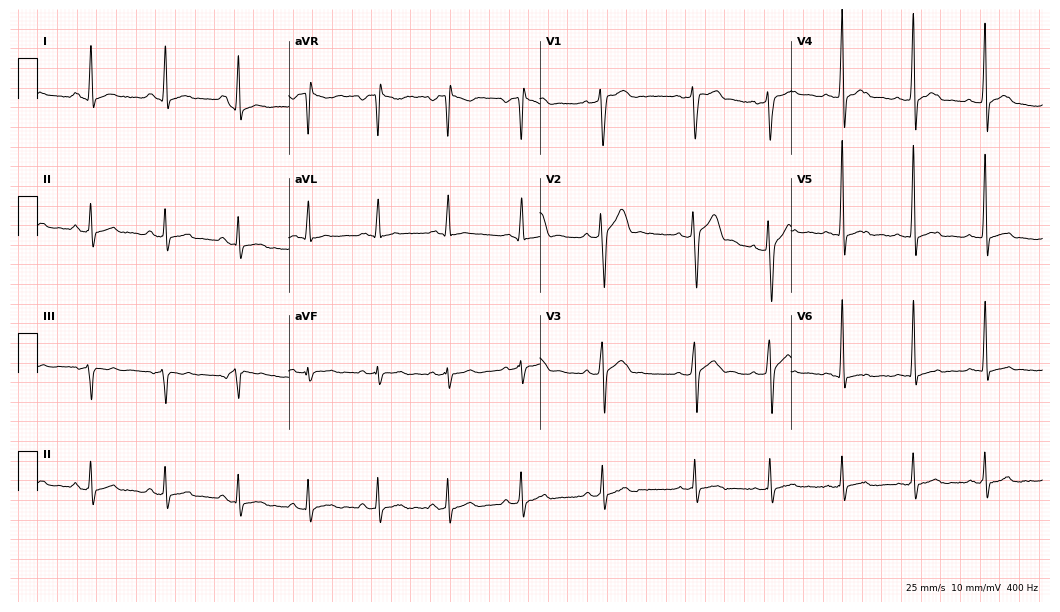
ECG — a female, 28 years old. Screened for six findings — first-degree AV block, right bundle branch block, left bundle branch block, sinus bradycardia, atrial fibrillation, sinus tachycardia — none is recorded. Findings outside these six are not listed.